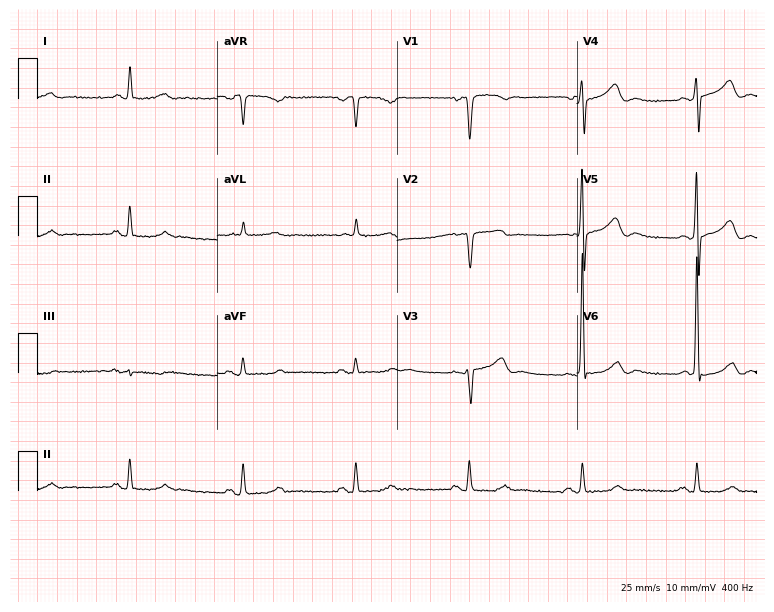
12-lead ECG from a man, 61 years old. No first-degree AV block, right bundle branch block, left bundle branch block, sinus bradycardia, atrial fibrillation or sinus tachycardia recorded for this tracing.